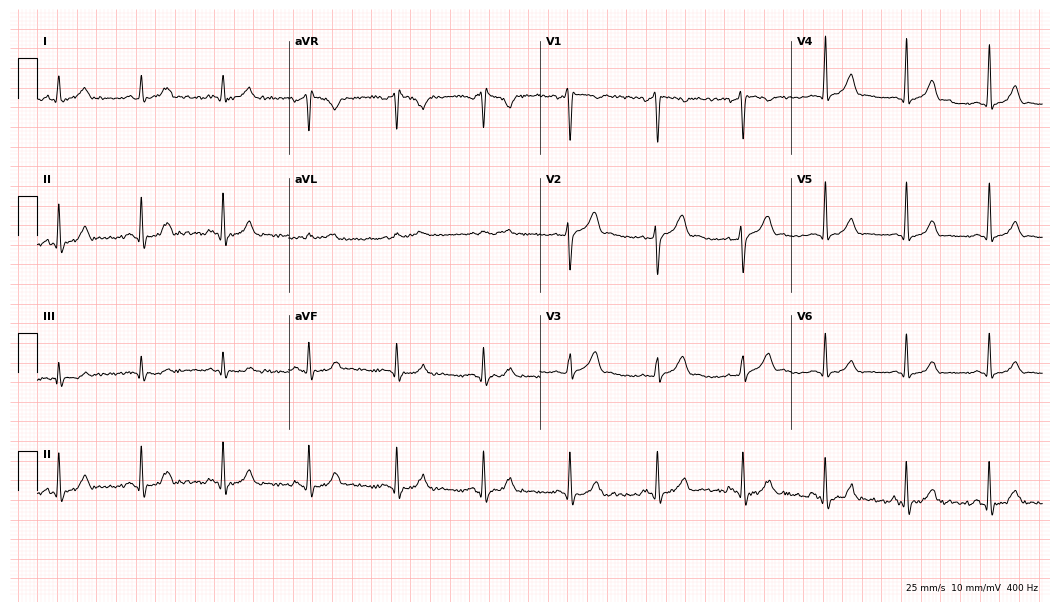
12-lead ECG from a 41-year-old male patient. No first-degree AV block, right bundle branch block, left bundle branch block, sinus bradycardia, atrial fibrillation or sinus tachycardia recorded for this tracing.